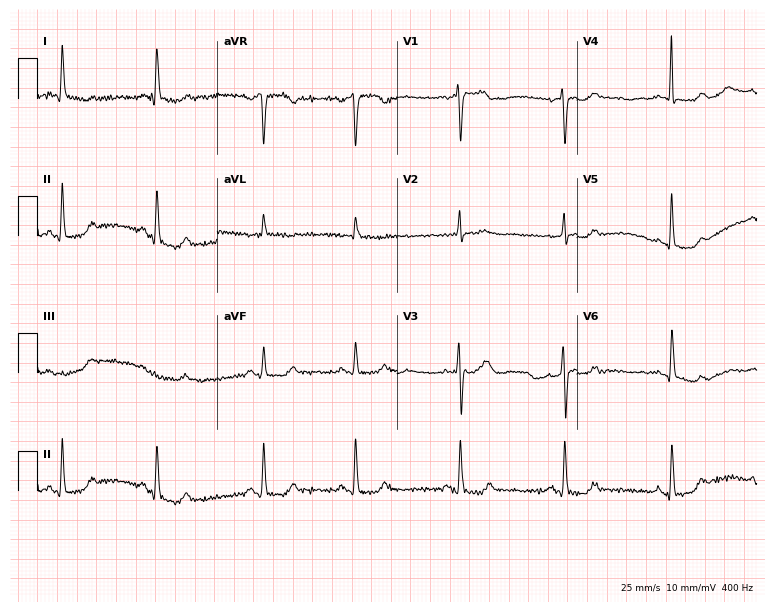
12-lead ECG (7.3-second recording at 400 Hz) from a female, 71 years old. Labelled as a normal ECG.